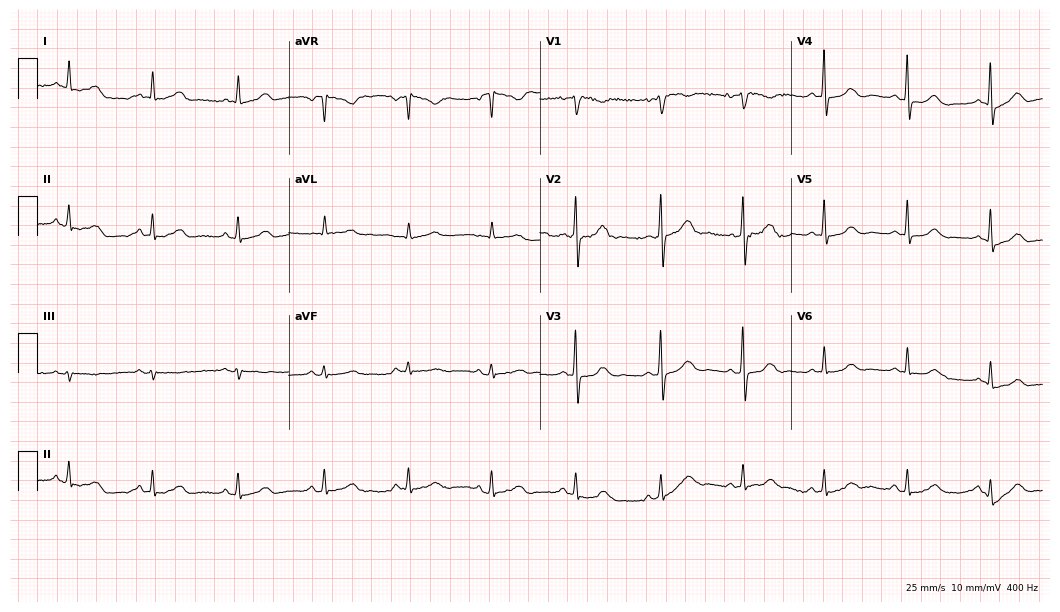
Resting 12-lead electrocardiogram (10.2-second recording at 400 Hz). Patient: a 55-year-old woman. Read as a normal ECG.